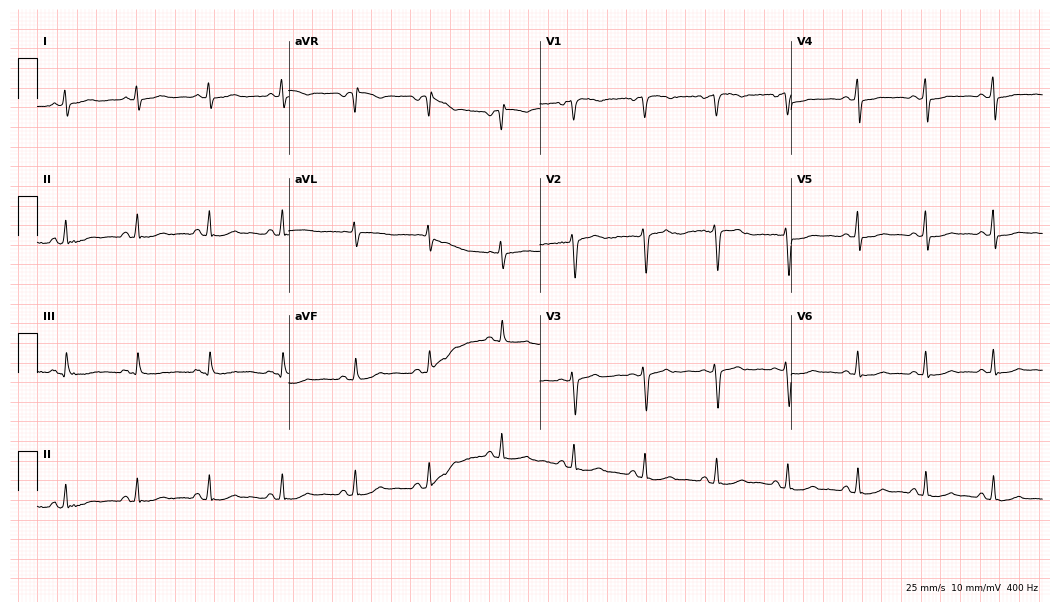
Standard 12-lead ECG recorded from a 33-year-old female patient (10.2-second recording at 400 Hz). None of these six findings is recorded: first-degree AV block, right bundle branch block, left bundle branch block, sinus bradycardia, atrial fibrillation, sinus tachycardia.